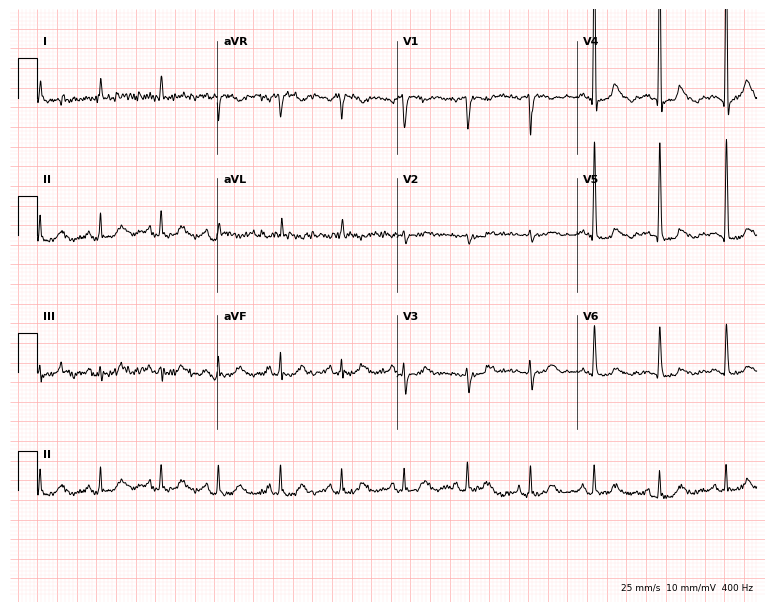
12-lead ECG from a female patient, 79 years old (7.3-second recording at 400 Hz). No first-degree AV block, right bundle branch block, left bundle branch block, sinus bradycardia, atrial fibrillation or sinus tachycardia recorded for this tracing.